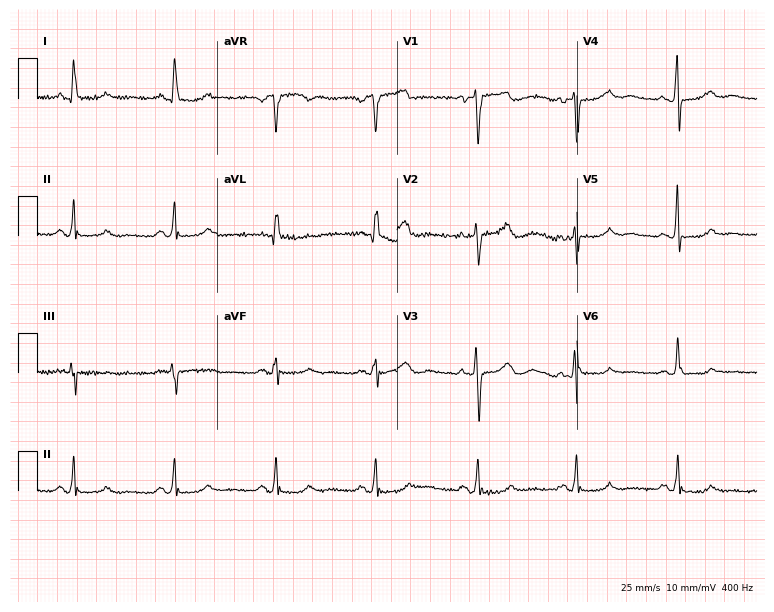
Standard 12-lead ECG recorded from a woman, 67 years old. None of these six findings is recorded: first-degree AV block, right bundle branch block, left bundle branch block, sinus bradycardia, atrial fibrillation, sinus tachycardia.